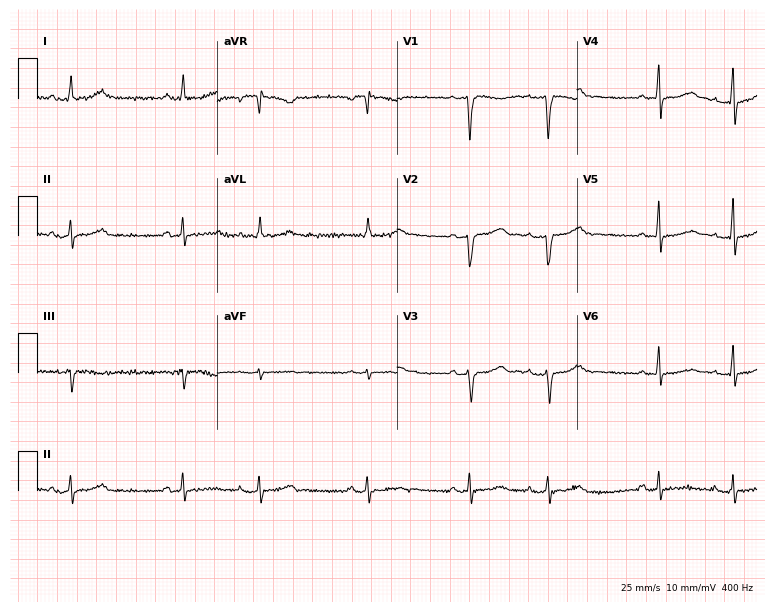
12-lead ECG from a 31-year-old female patient. Screened for six findings — first-degree AV block, right bundle branch block (RBBB), left bundle branch block (LBBB), sinus bradycardia, atrial fibrillation (AF), sinus tachycardia — none is recorded. Findings outside these six are not listed.